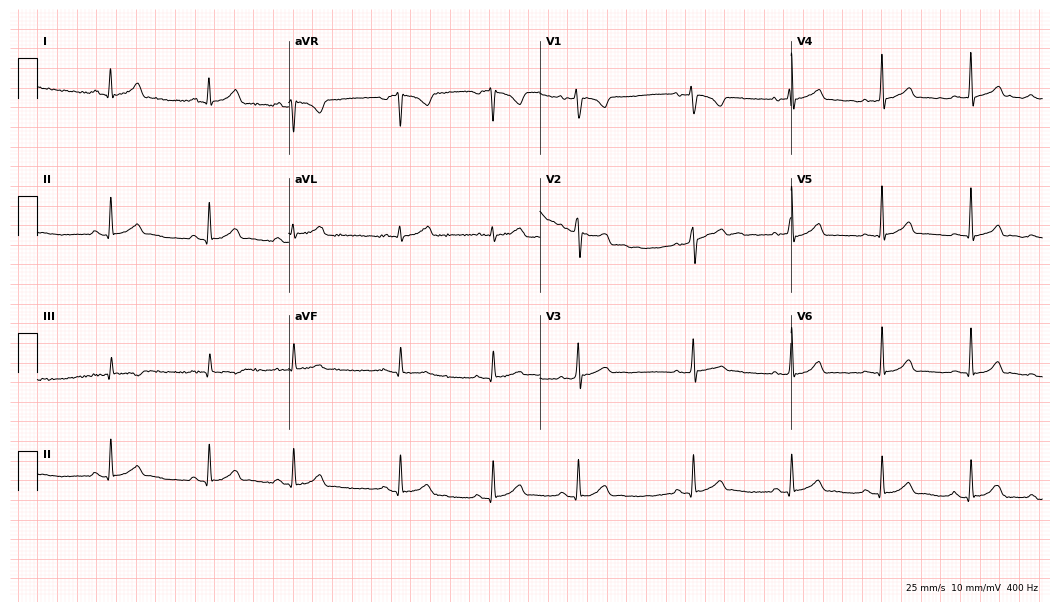
12-lead ECG (10.2-second recording at 400 Hz) from a 21-year-old woman. Labelled as a normal ECG.